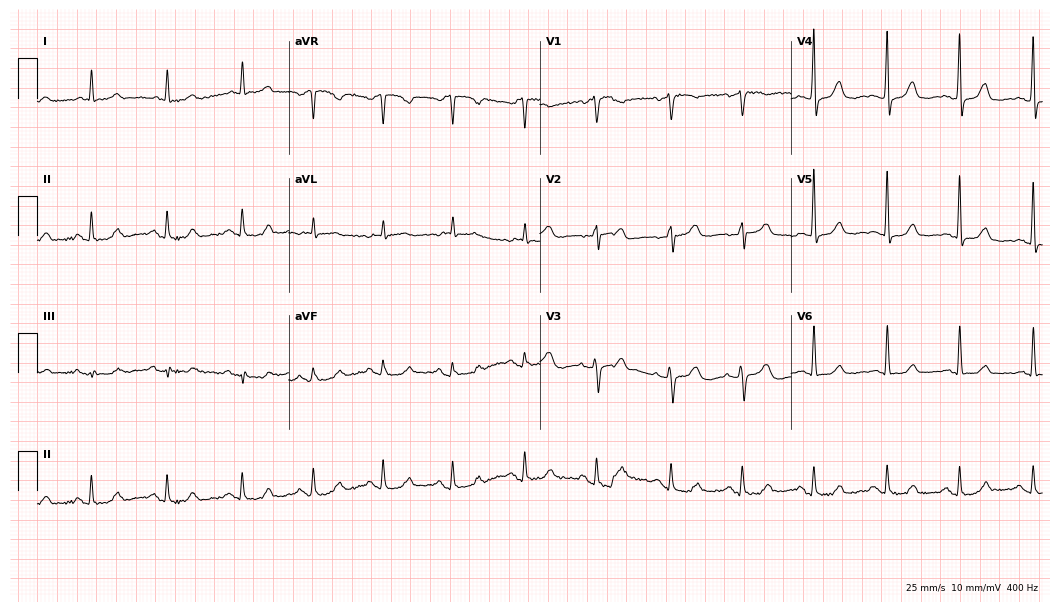
12-lead ECG from a woman, 77 years old (10.2-second recording at 400 Hz). No first-degree AV block, right bundle branch block, left bundle branch block, sinus bradycardia, atrial fibrillation or sinus tachycardia recorded for this tracing.